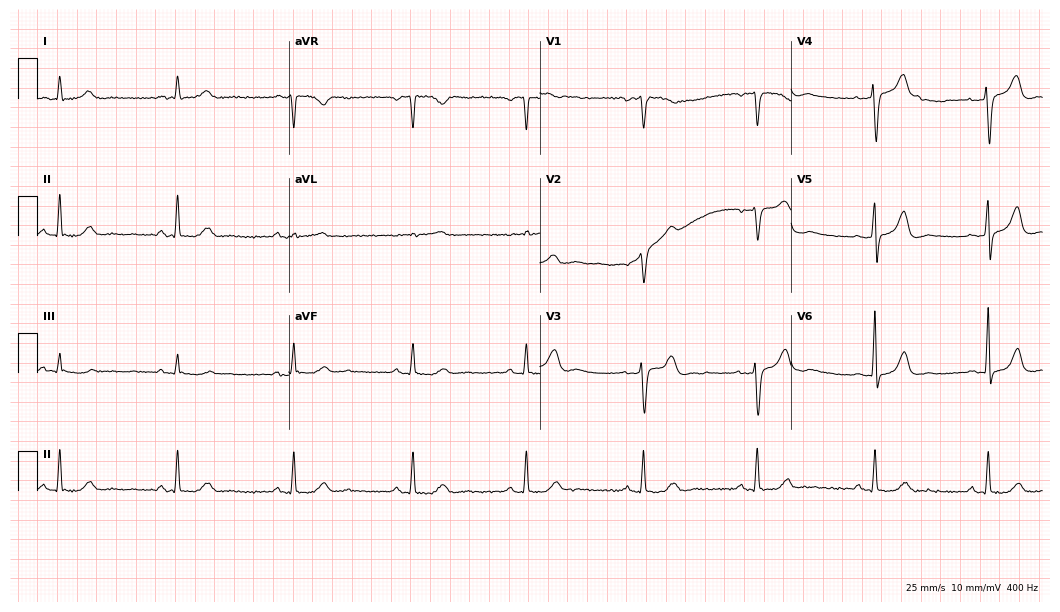
Electrocardiogram (10.2-second recording at 400 Hz), a 76-year-old woman. Interpretation includes sinus bradycardia (a sinus rate of 50 beats per minute or less).